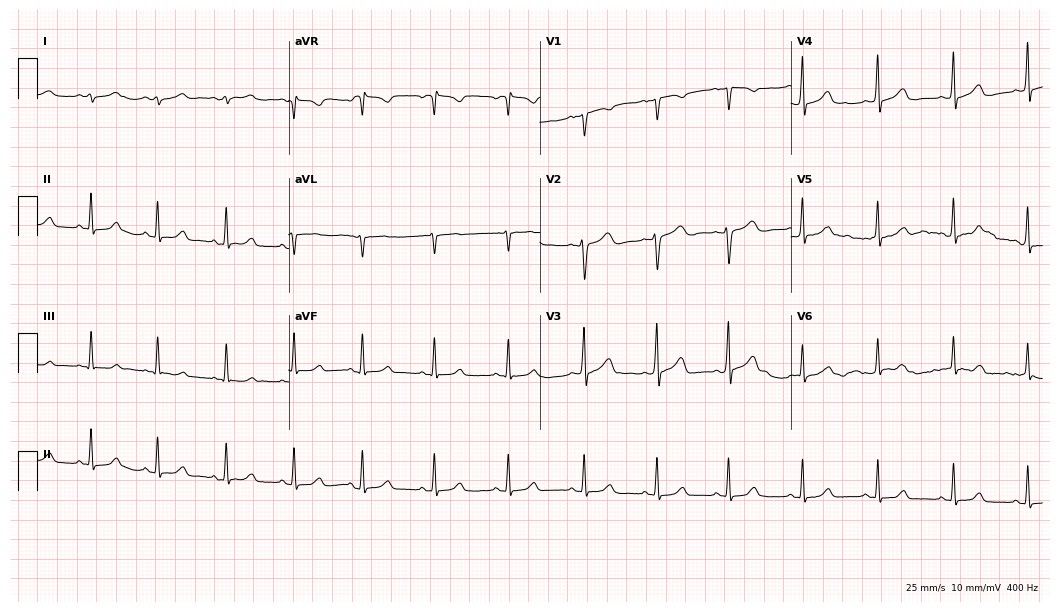
12-lead ECG (10.2-second recording at 400 Hz) from a female, 30 years old. Labelled as a normal ECG.